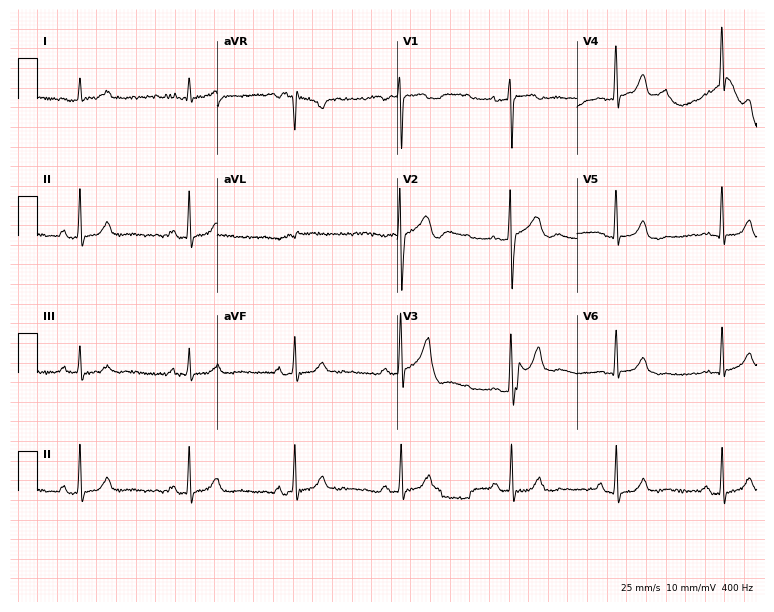
12-lead ECG from a male, 69 years old. No first-degree AV block, right bundle branch block, left bundle branch block, sinus bradycardia, atrial fibrillation or sinus tachycardia recorded for this tracing.